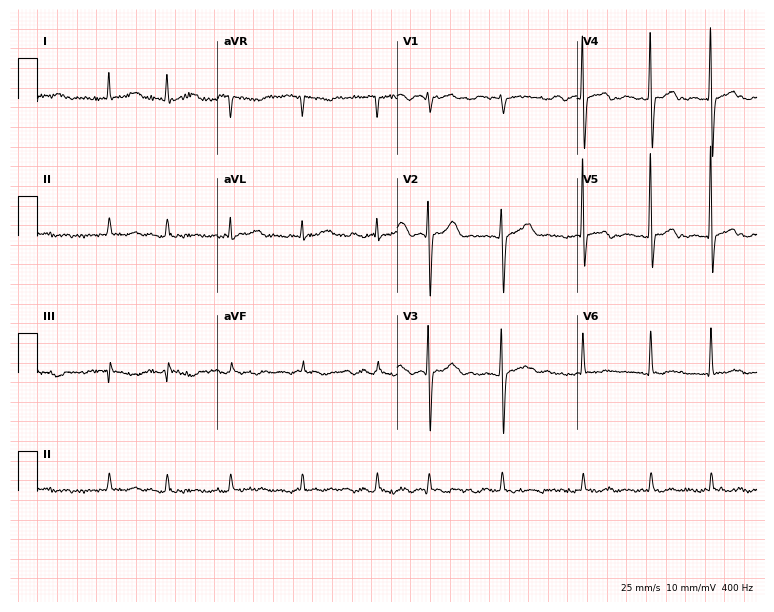
Standard 12-lead ECG recorded from a female, 85 years old. The tracing shows atrial fibrillation.